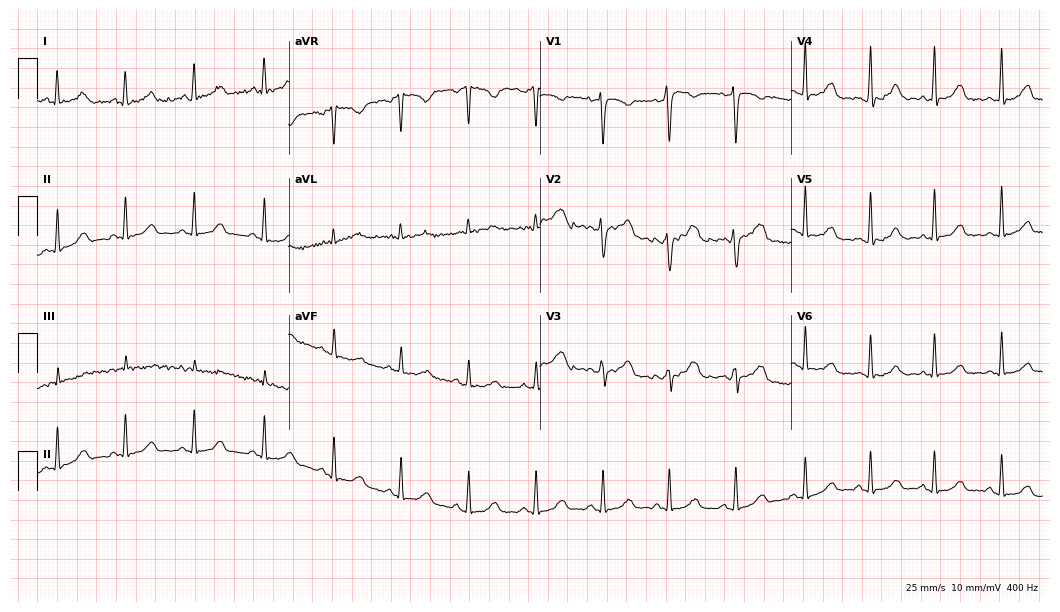
ECG (10.2-second recording at 400 Hz) — a 29-year-old woman. Labelled as a normal ECG.